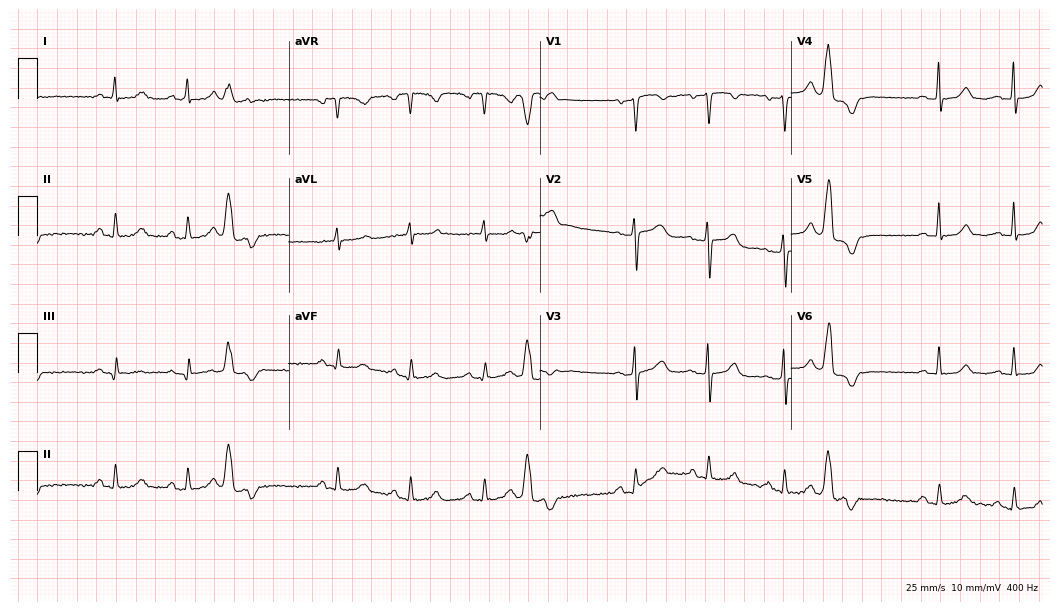
Resting 12-lead electrocardiogram (10.2-second recording at 400 Hz). Patient: a 57-year-old woman. None of these six findings is recorded: first-degree AV block, right bundle branch block (RBBB), left bundle branch block (LBBB), sinus bradycardia, atrial fibrillation (AF), sinus tachycardia.